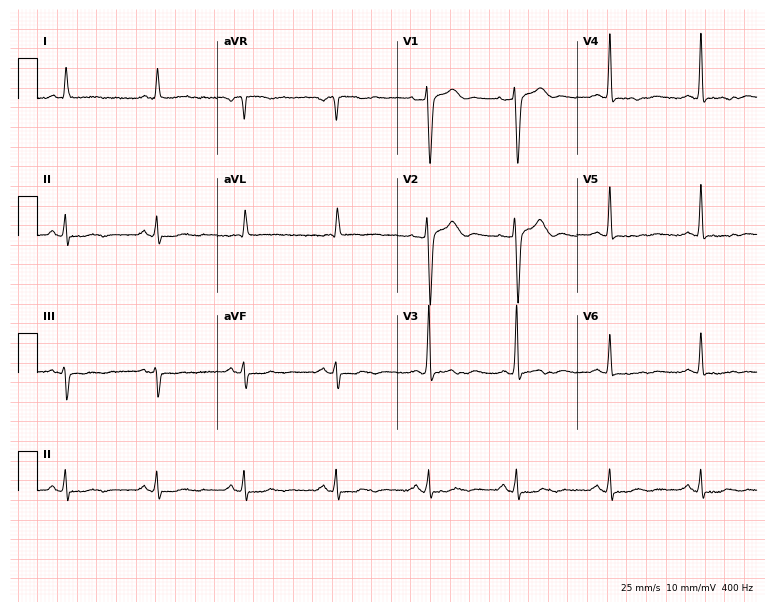
Electrocardiogram, a male, 76 years old. Of the six screened findings (first-degree AV block, right bundle branch block (RBBB), left bundle branch block (LBBB), sinus bradycardia, atrial fibrillation (AF), sinus tachycardia), none is recorded.